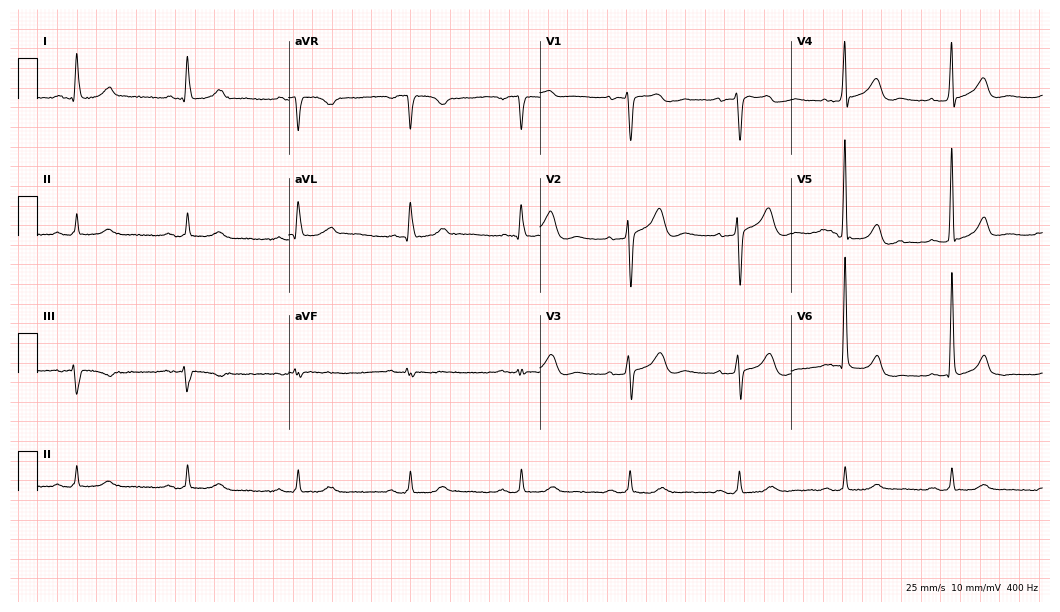
Resting 12-lead electrocardiogram. Patient: a 78-year-old male. None of these six findings is recorded: first-degree AV block, right bundle branch block, left bundle branch block, sinus bradycardia, atrial fibrillation, sinus tachycardia. Only these six findings were labelled.